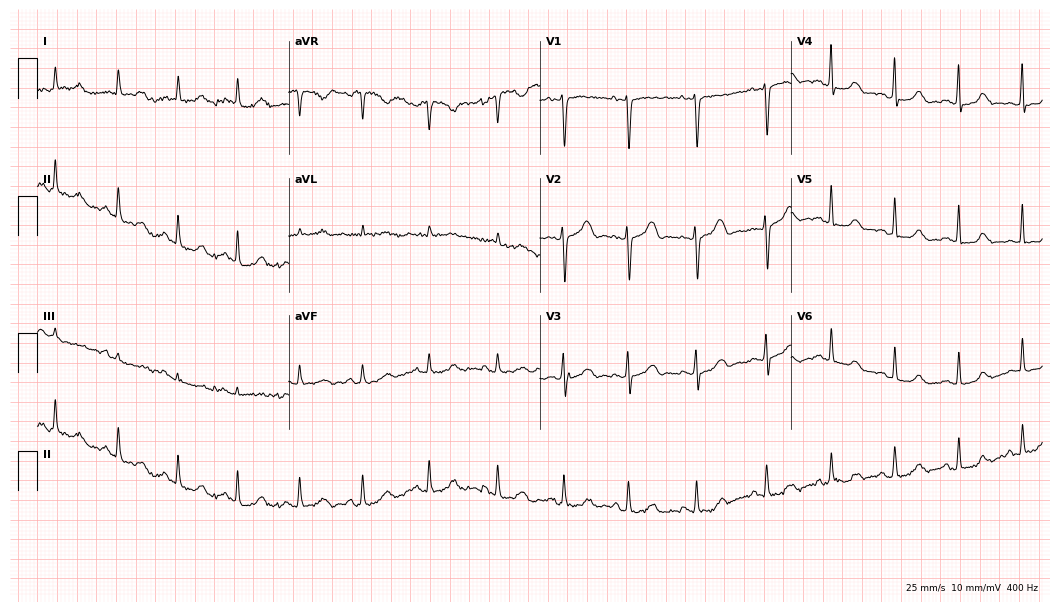
Resting 12-lead electrocardiogram (10.2-second recording at 400 Hz). Patient: a female, 42 years old. Read as a normal ECG.